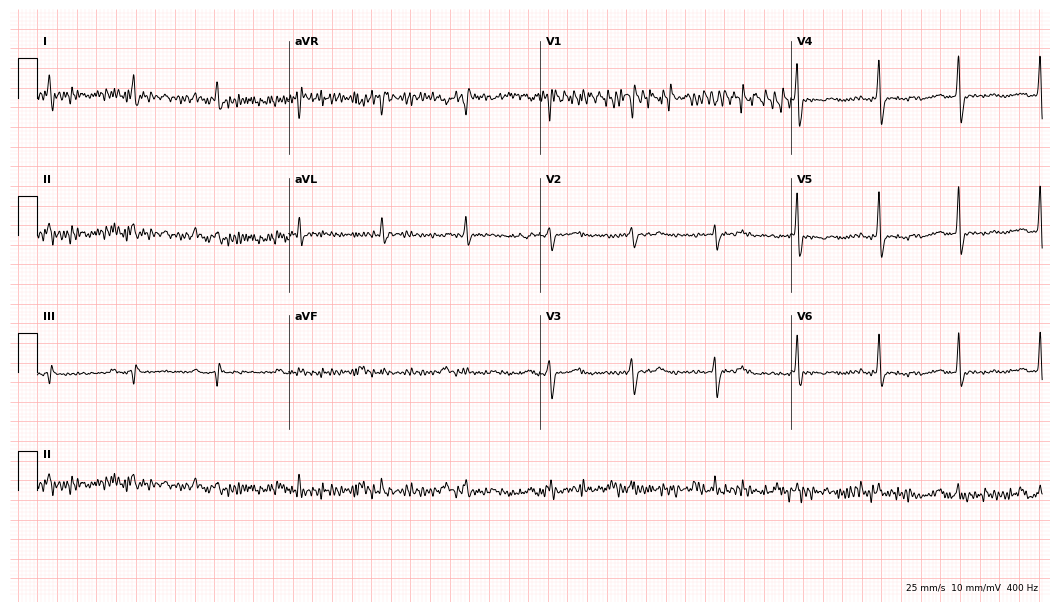
ECG (10.2-second recording at 400 Hz) — a man, 59 years old. Screened for six findings — first-degree AV block, right bundle branch block, left bundle branch block, sinus bradycardia, atrial fibrillation, sinus tachycardia — none is recorded. Only these six findings were labelled.